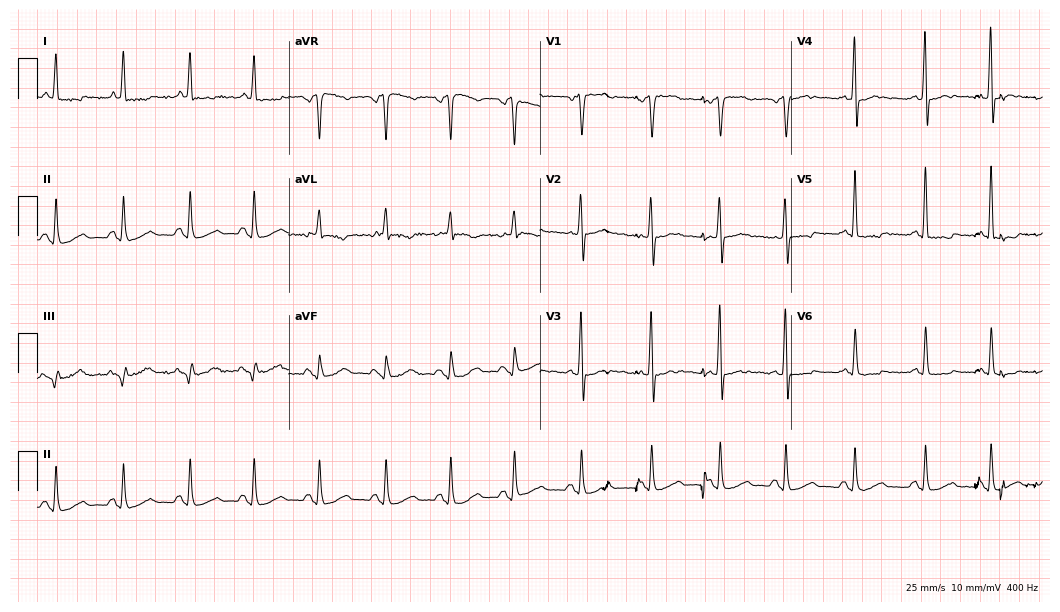
12-lead ECG from a male patient, 50 years old. No first-degree AV block, right bundle branch block (RBBB), left bundle branch block (LBBB), sinus bradycardia, atrial fibrillation (AF) or sinus tachycardia recorded for this tracing. Other findings, if any, are not listed.